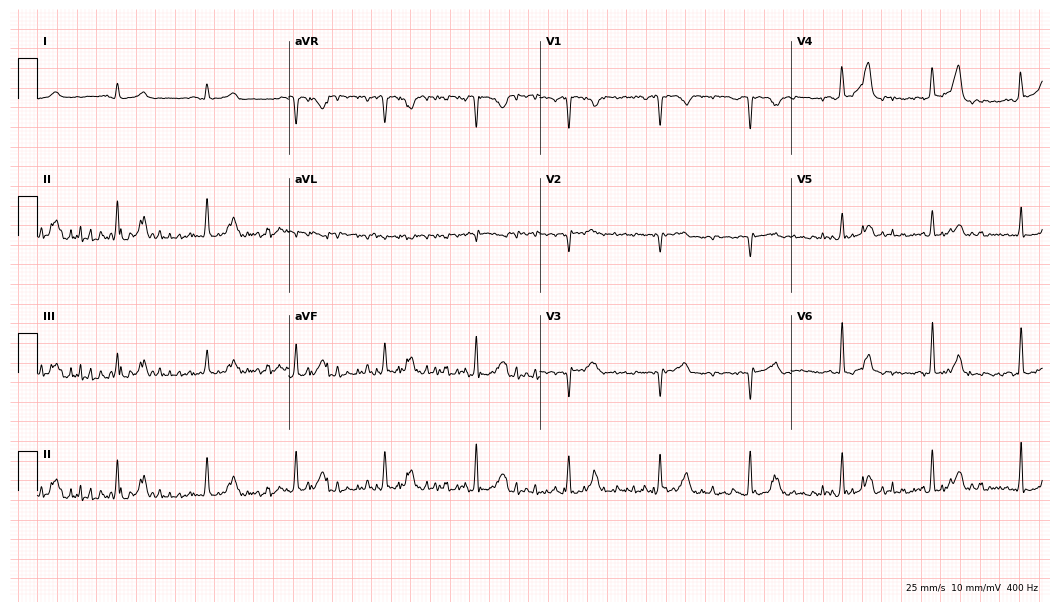
Resting 12-lead electrocardiogram (10.2-second recording at 400 Hz). Patient: a man, 50 years old. None of these six findings is recorded: first-degree AV block, right bundle branch block, left bundle branch block, sinus bradycardia, atrial fibrillation, sinus tachycardia. Findings outside these six are not listed.